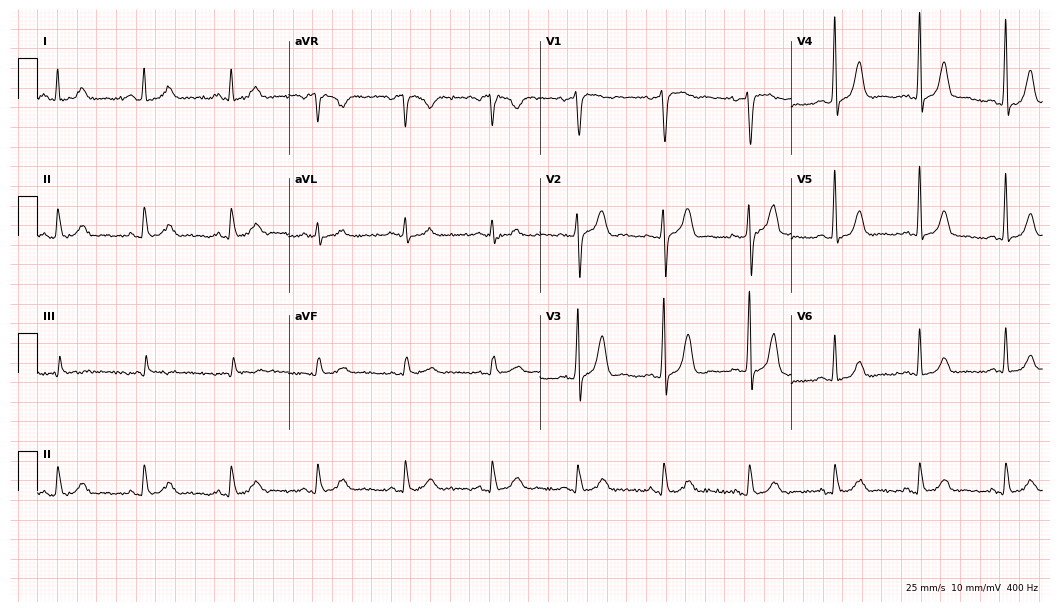
12-lead ECG (10.2-second recording at 400 Hz) from a 61-year-old male. Screened for six findings — first-degree AV block, right bundle branch block, left bundle branch block, sinus bradycardia, atrial fibrillation, sinus tachycardia — none is recorded.